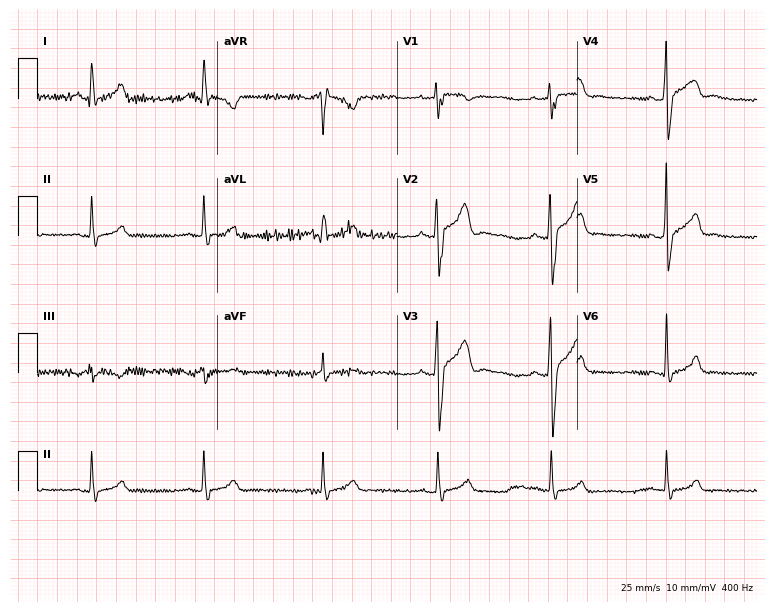
Resting 12-lead electrocardiogram (7.3-second recording at 400 Hz). Patient: a 27-year-old man. None of these six findings is recorded: first-degree AV block, right bundle branch block (RBBB), left bundle branch block (LBBB), sinus bradycardia, atrial fibrillation (AF), sinus tachycardia. Findings outside these six are not listed.